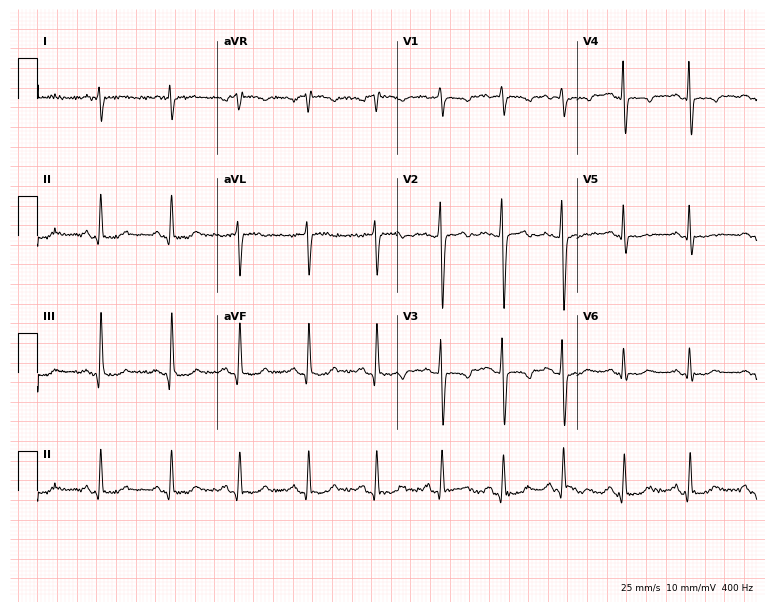
Resting 12-lead electrocardiogram. Patient: a 48-year-old female. None of these six findings is recorded: first-degree AV block, right bundle branch block, left bundle branch block, sinus bradycardia, atrial fibrillation, sinus tachycardia. Other findings, if any, are not listed.